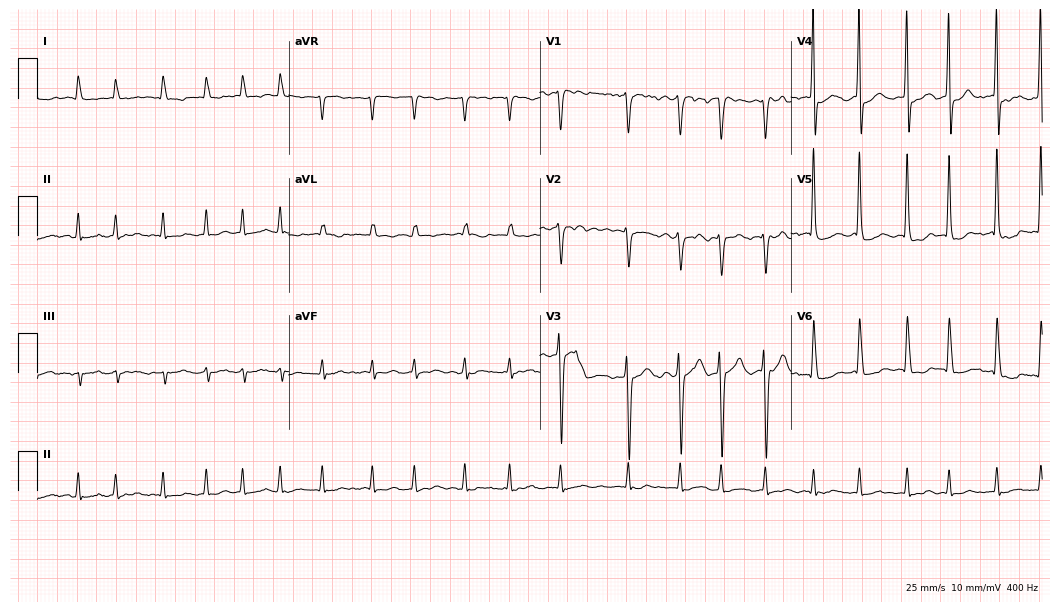
12-lead ECG from a male, 75 years old. Findings include atrial fibrillation.